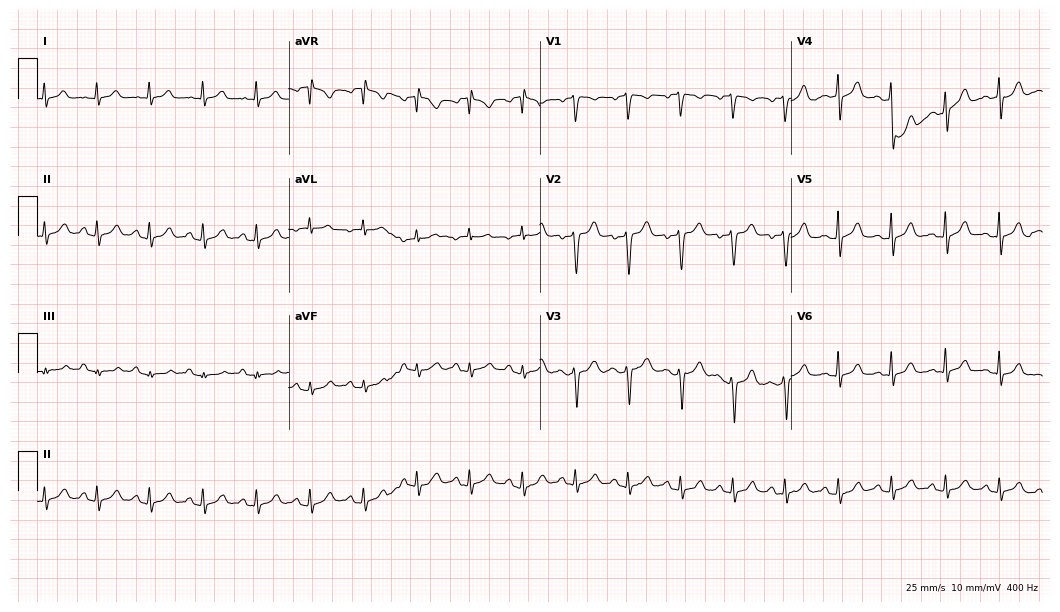
12-lead ECG (10.2-second recording at 400 Hz) from a female, 31 years old. Screened for six findings — first-degree AV block, right bundle branch block (RBBB), left bundle branch block (LBBB), sinus bradycardia, atrial fibrillation (AF), sinus tachycardia — none is recorded.